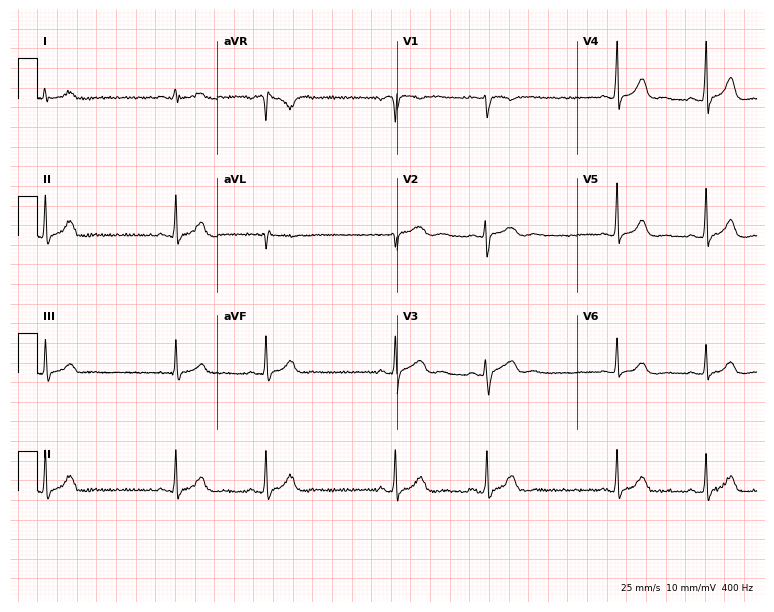
ECG (7.3-second recording at 400 Hz) — a 25-year-old female. Screened for six findings — first-degree AV block, right bundle branch block (RBBB), left bundle branch block (LBBB), sinus bradycardia, atrial fibrillation (AF), sinus tachycardia — none is recorded. Findings outside these six are not listed.